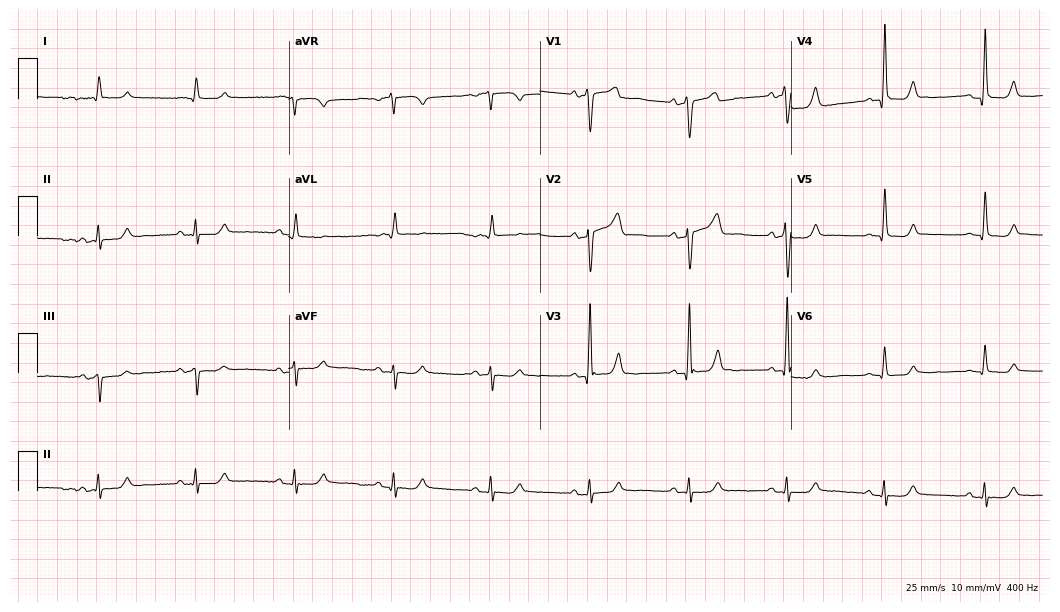
Electrocardiogram (10.2-second recording at 400 Hz), a male, 75 years old. Of the six screened findings (first-degree AV block, right bundle branch block (RBBB), left bundle branch block (LBBB), sinus bradycardia, atrial fibrillation (AF), sinus tachycardia), none is recorded.